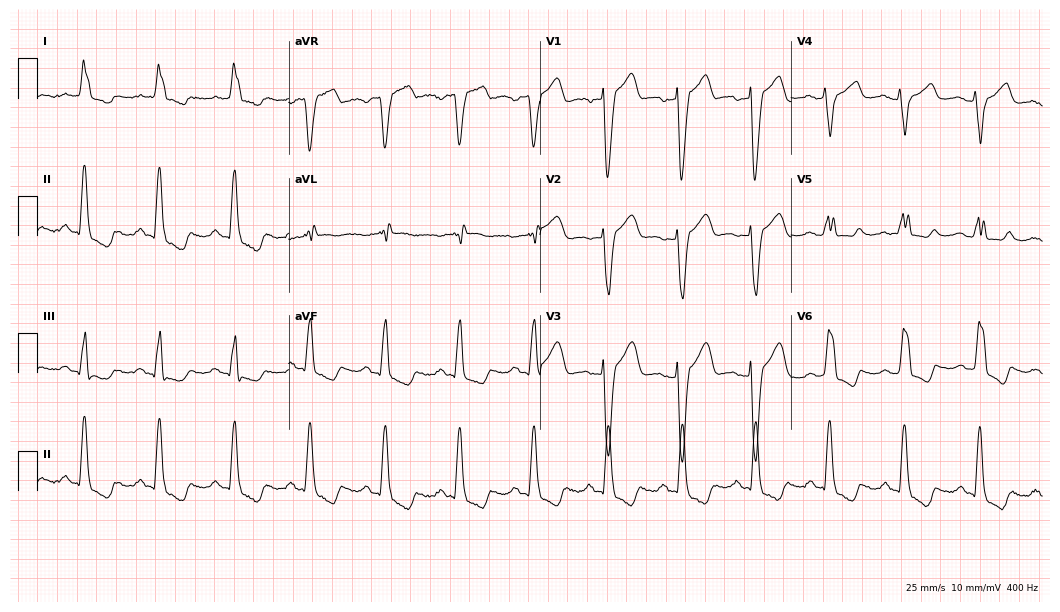
Resting 12-lead electrocardiogram. Patient: a female, 75 years old. The tracing shows left bundle branch block.